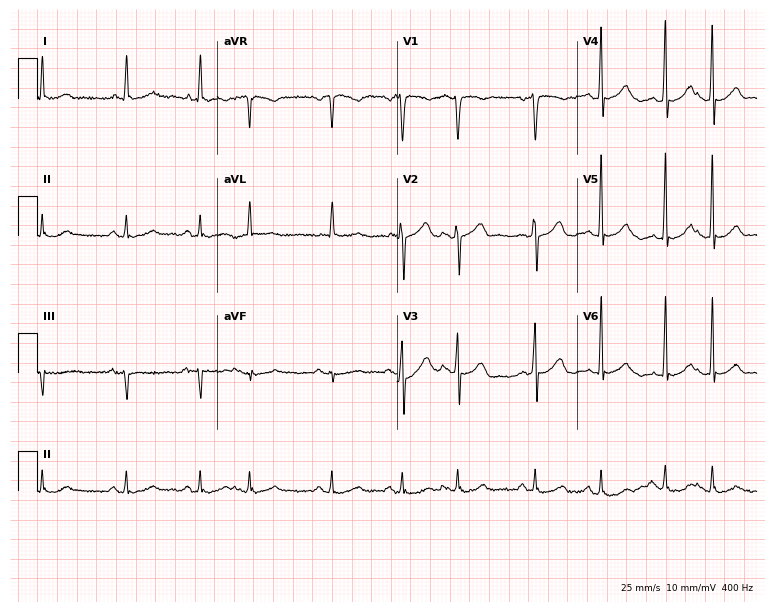
Electrocardiogram (7.3-second recording at 400 Hz), an 82-year-old man. Of the six screened findings (first-degree AV block, right bundle branch block, left bundle branch block, sinus bradycardia, atrial fibrillation, sinus tachycardia), none is recorded.